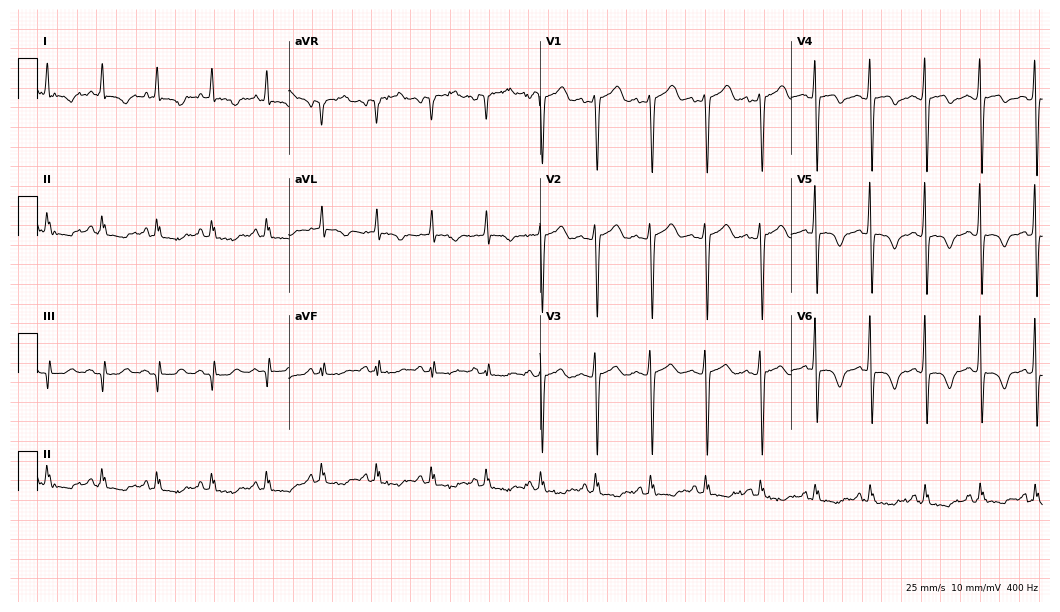
Standard 12-lead ECG recorded from a 60-year-old female. The tracing shows sinus tachycardia (a sinus rate of 100 beats per minute or more).